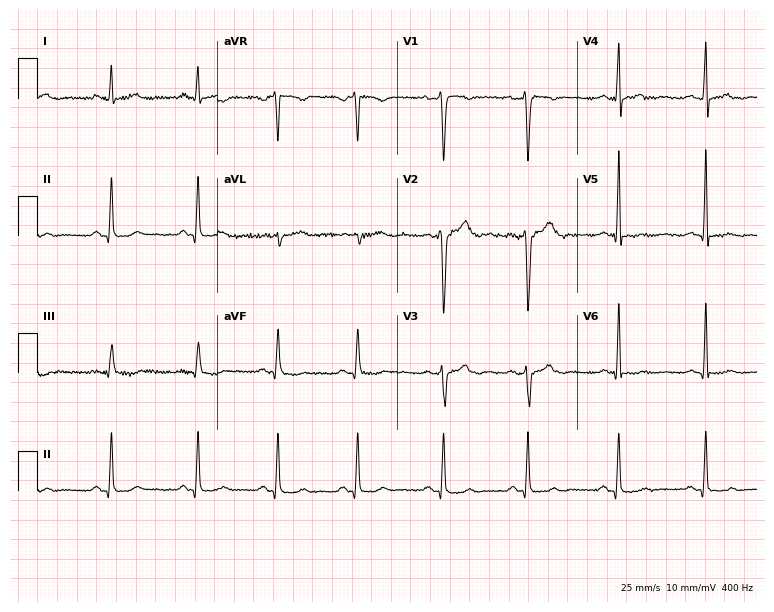
12-lead ECG from a 29-year-old male patient (7.3-second recording at 400 Hz). No first-degree AV block, right bundle branch block (RBBB), left bundle branch block (LBBB), sinus bradycardia, atrial fibrillation (AF) or sinus tachycardia recorded for this tracing.